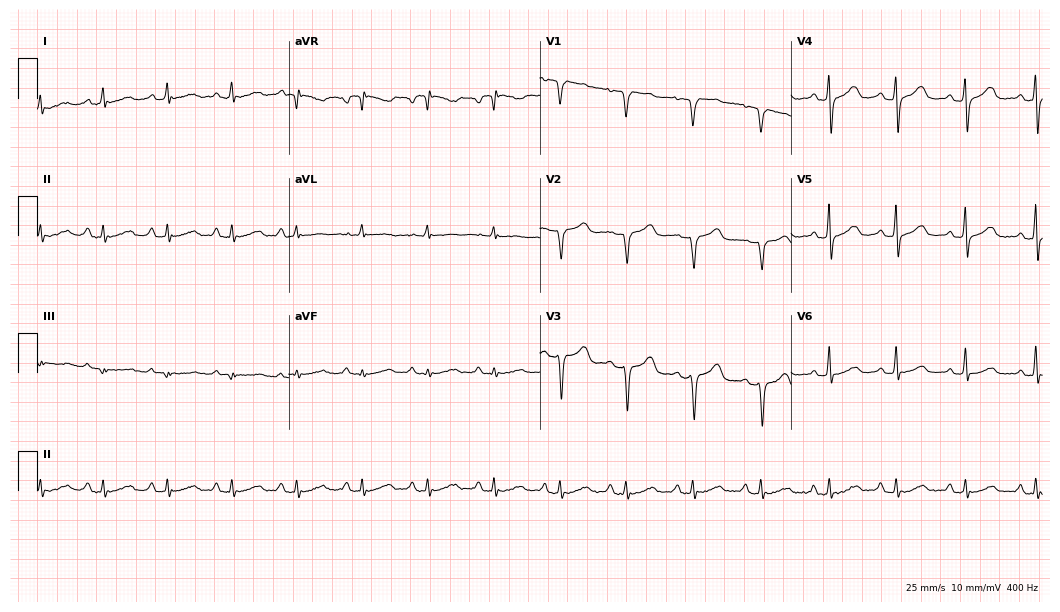
12-lead ECG from a 73-year-old female patient (10.2-second recording at 400 Hz). No first-degree AV block, right bundle branch block (RBBB), left bundle branch block (LBBB), sinus bradycardia, atrial fibrillation (AF) or sinus tachycardia recorded for this tracing.